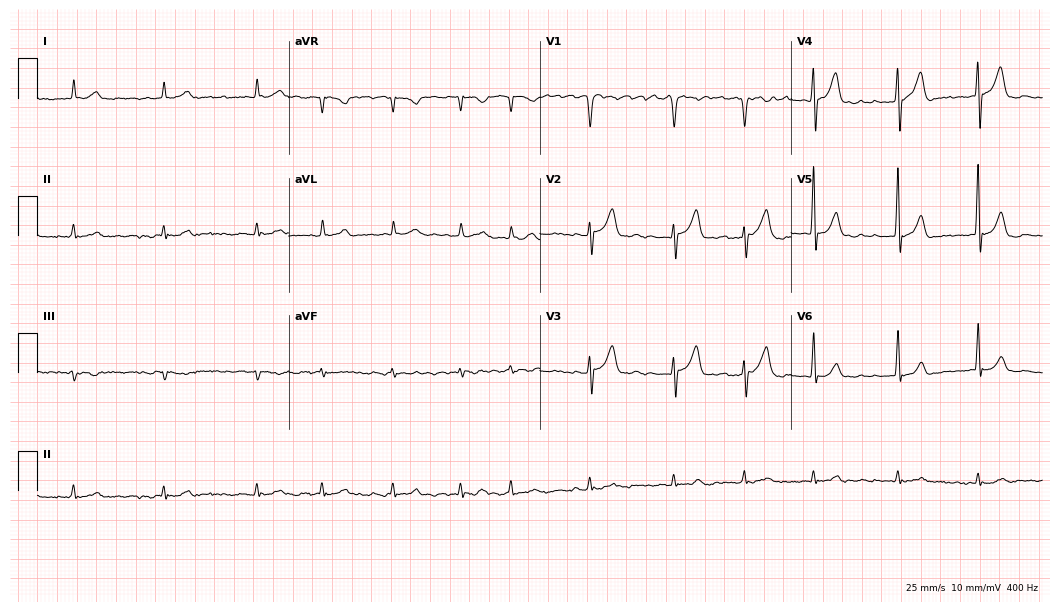
Electrocardiogram (10.2-second recording at 400 Hz), a man, 72 years old. Interpretation includes atrial fibrillation.